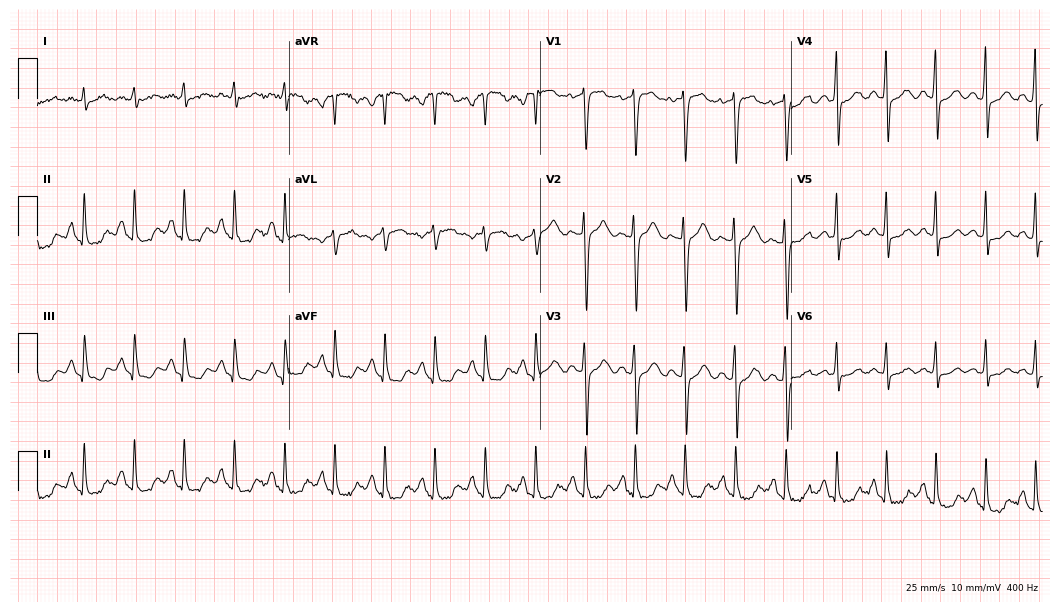
12-lead ECG from a female patient, 58 years old (10.2-second recording at 400 Hz). Shows sinus tachycardia (a sinus rate of 100 beats per minute or more).